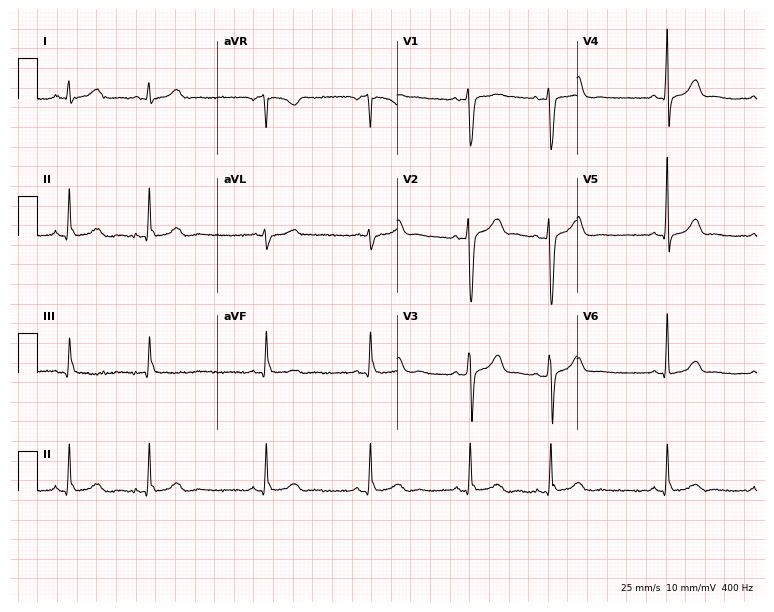
Electrocardiogram, a 39-year-old female. Overall reading on record: normal ECG.